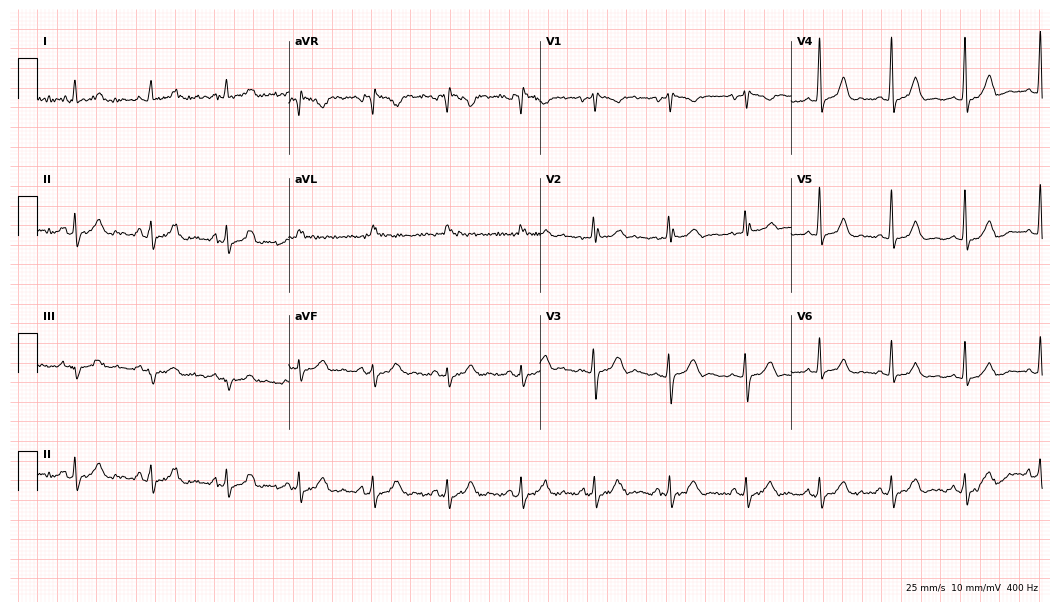
12-lead ECG from a woman, 36 years old. Recorded interpretation: within normal limits.